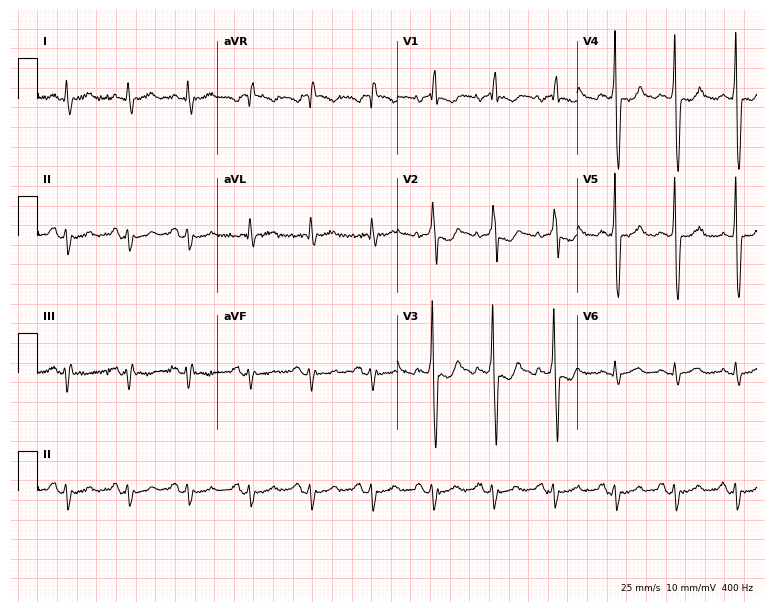
12-lead ECG from a 58-year-old male patient. Screened for six findings — first-degree AV block, right bundle branch block, left bundle branch block, sinus bradycardia, atrial fibrillation, sinus tachycardia — none is recorded.